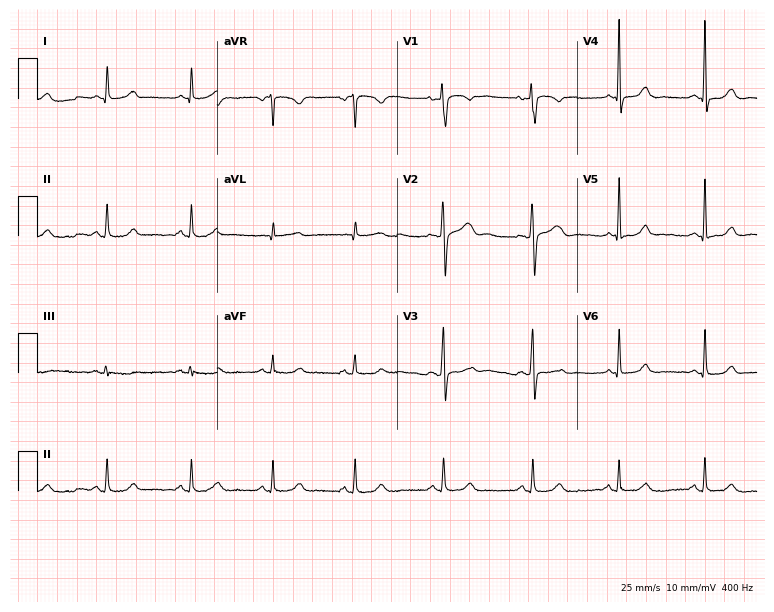
12-lead ECG from a female, 48 years old (7.3-second recording at 400 Hz). No first-degree AV block, right bundle branch block, left bundle branch block, sinus bradycardia, atrial fibrillation or sinus tachycardia recorded for this tracing. Findings outside these six are not listed.